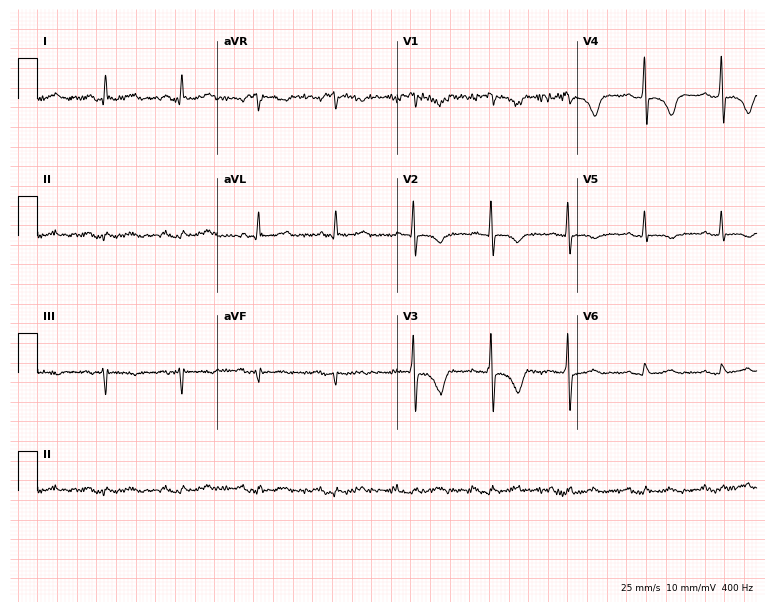
Resting 12-lead electrocardiogram. Patient: a 69-year-old woman. None of these six findings is recorded: first-degree AV block, right bundle branch block, left bundle branch block, sinus bradycardia, atrial fibrillation, sinus tachycardia. Other findings, if any, are not listed.